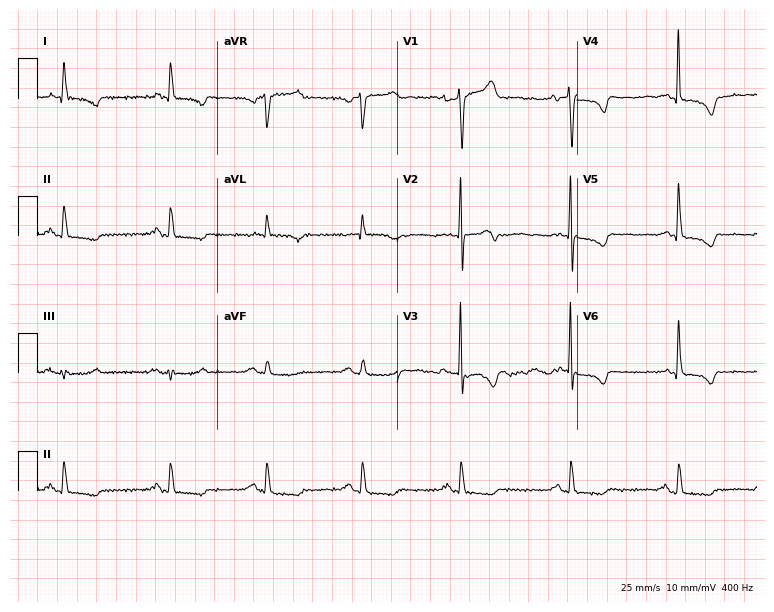
ECG — an 82-year-old male. Screened for six findings — first-degree AV block, right bundle branch block, left bundle branch block, sinus bradycardia, atrial fibrillation, sinus tachycardia — none is recorded. Only these six findings were labelled.